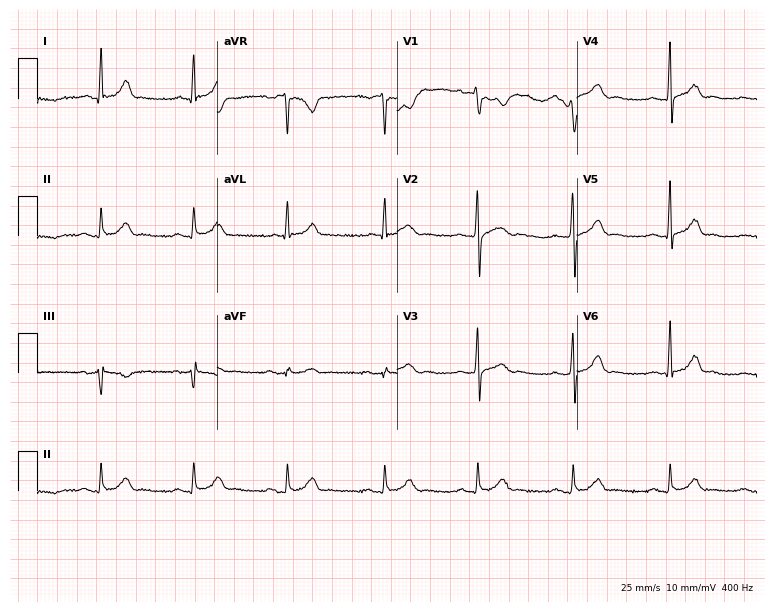
Standard 12-lead ECG recorded from a male, 44 years old (7.3-second recording at 400 Hz). None of these six findings is recorded: first-degree AV block, right bundle branch block, left bundle branch block, sinus bradycardia, atrial fibrillation, sinus tachycardia.